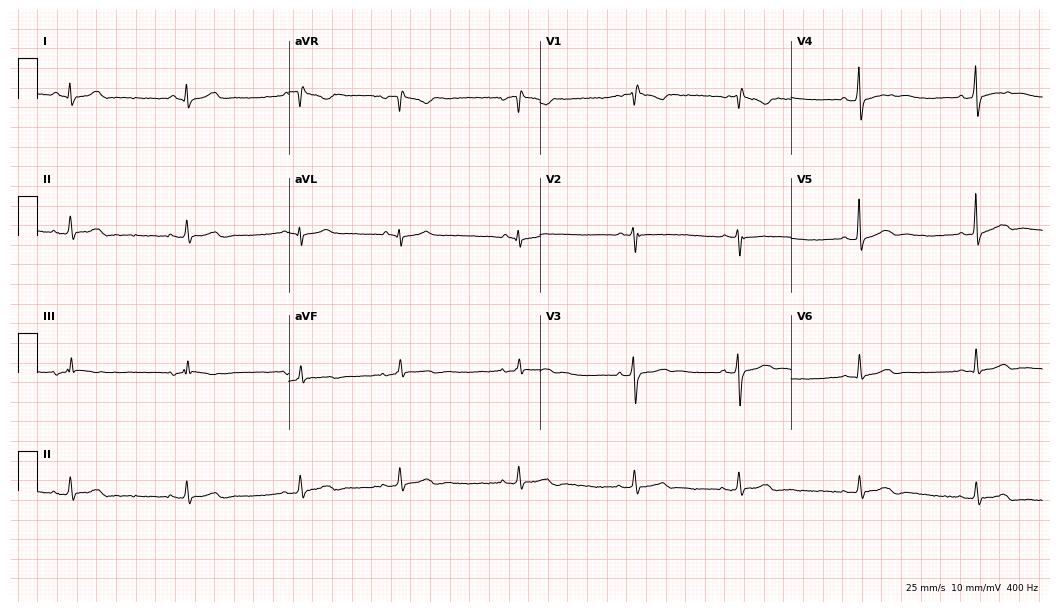
Standard 12-lead ECG recorded from a 33-year-old woman. Read as a normal ECG.